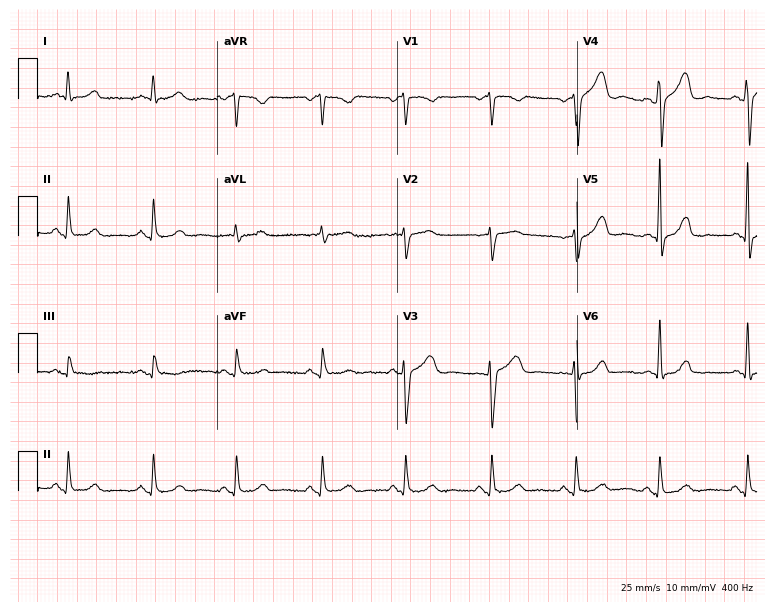
Resting 12-lead electrocardiogram (7.3-second recording at 400 Hz). Patient: a female, 47 years old. None of these six findings is recorded: first-degree AV block, right bundle branch block (RBBB), left bundle branch block (LBBB), sinus bradycardia, atrial fibrillation (AF), sinus tachycardia.